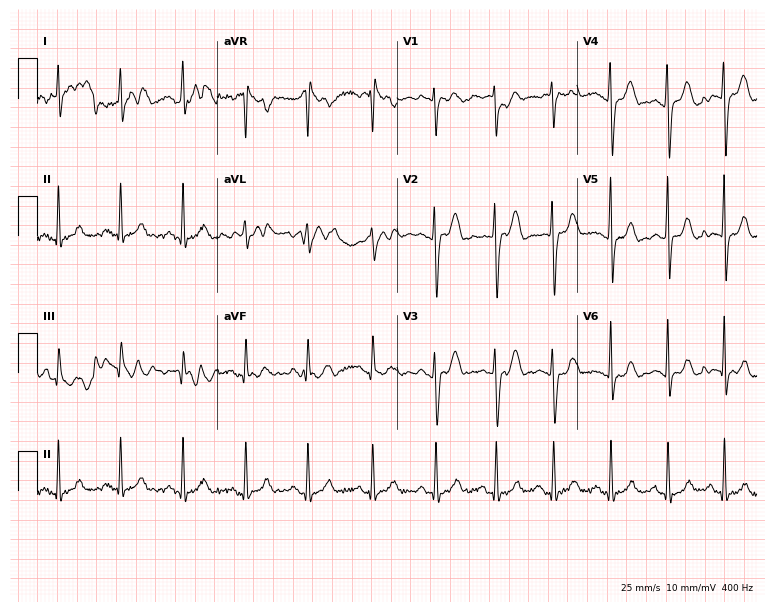
Electrocardiogram (7.3-second recording at 400 Hz), a 19-year-old man. Of the six screened findings (first-degree AV block, right bundle branch block, left bundle branch block, sinus bradycardia, atrial fibrillation, sinus tachycardia), none is recorded. Other findings, if any, are not listed.